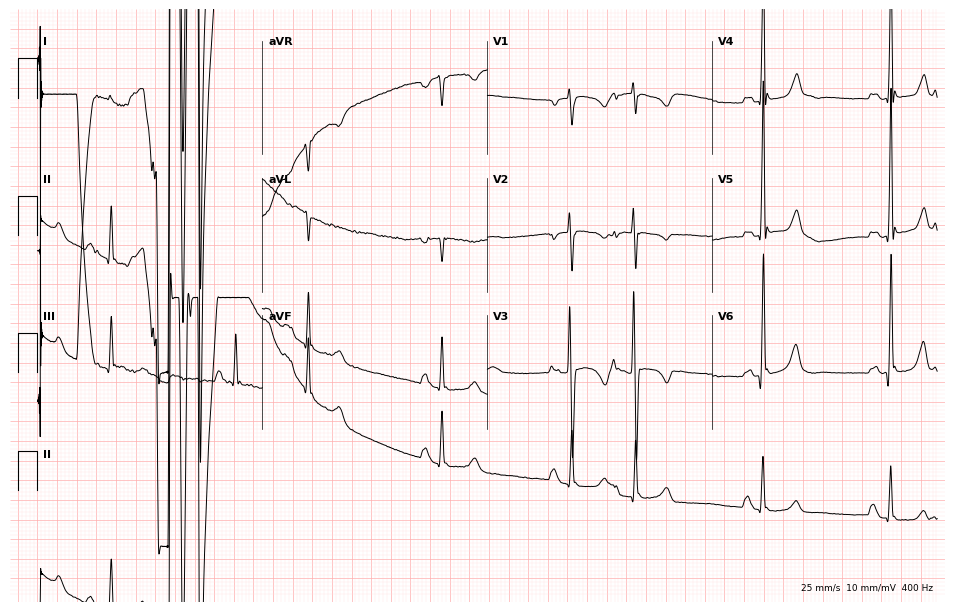
ECG — a 40-year-old male. Screened for six findings — first-degree AV block, right bundle branch block (RBBB), left bundle branch block (LBBB), sinus bradycardia, atrial fibrillation (AF), sinus tachycardia — none is recorded.